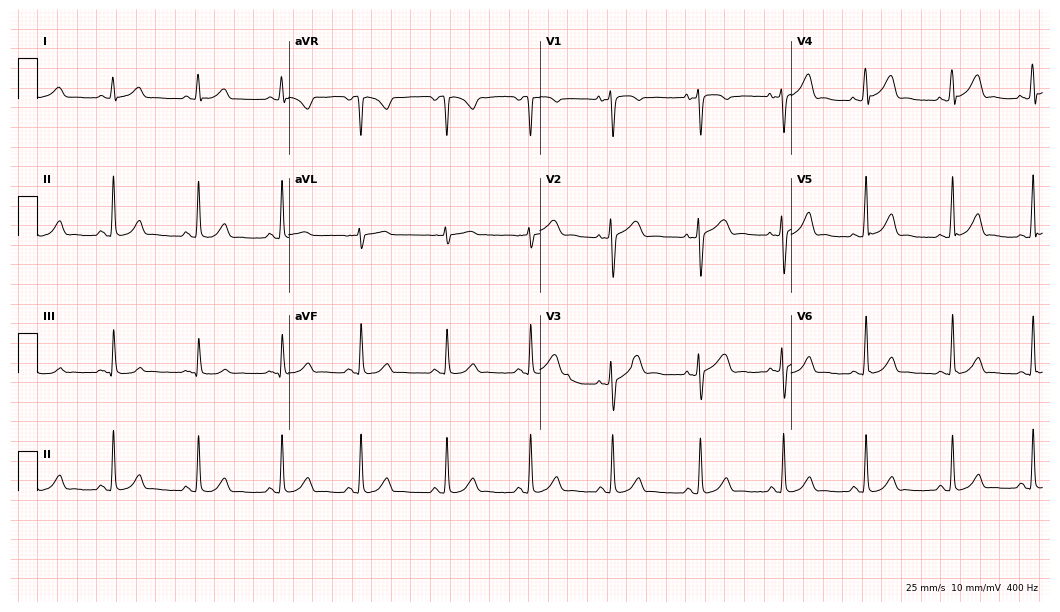
12-lead ECG from a woman, 28 years old. Labelled as a normal ECG.